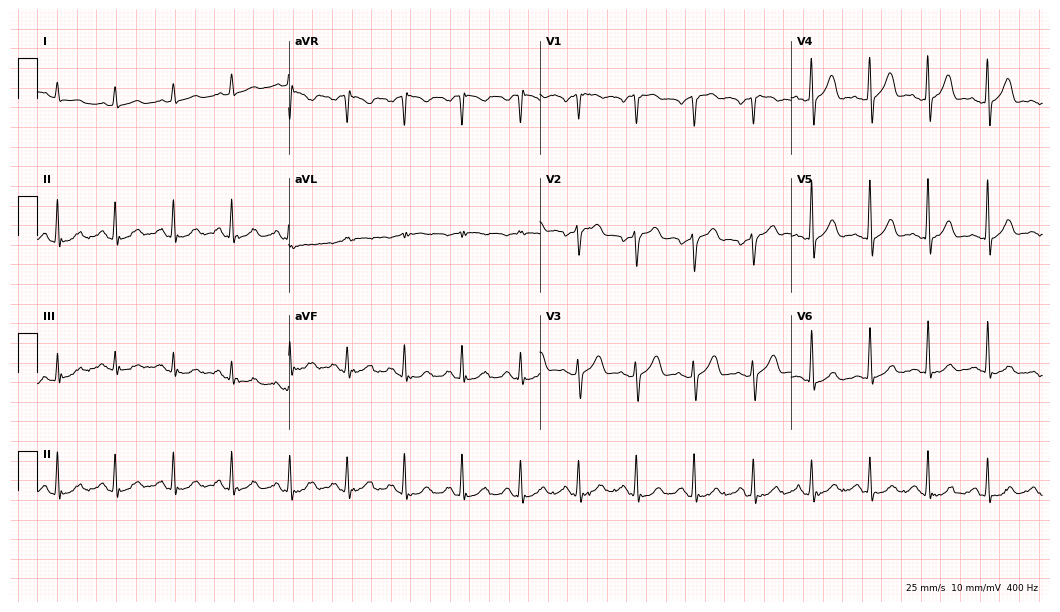
Standard 12-lead ECG recorded from a 62-year-old male (10.2-second recording at 400 Hz). The tracing shows sinus tachycardia (a sinus rate of 100 beats per minute or more).